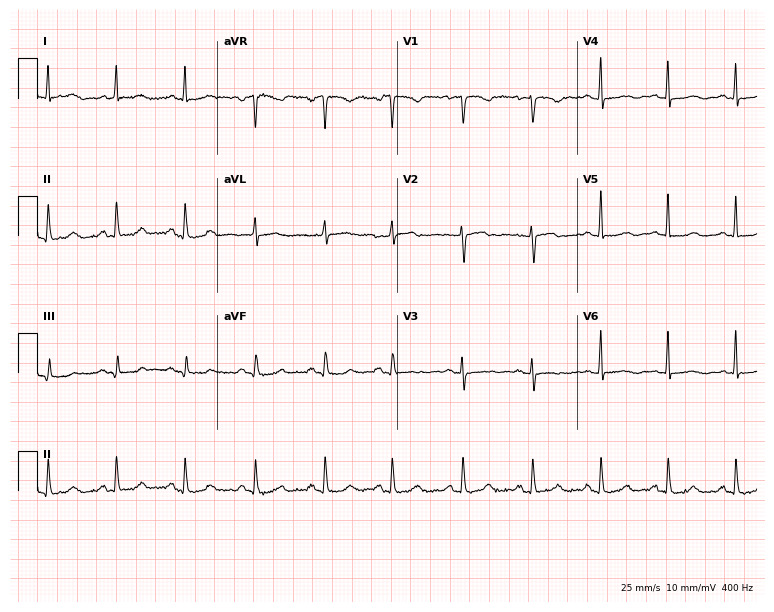
Electrocardiogram (7.3-second recording at 400 Hz), a 48-year-old female patient. Overall reading on record: normal ECG.